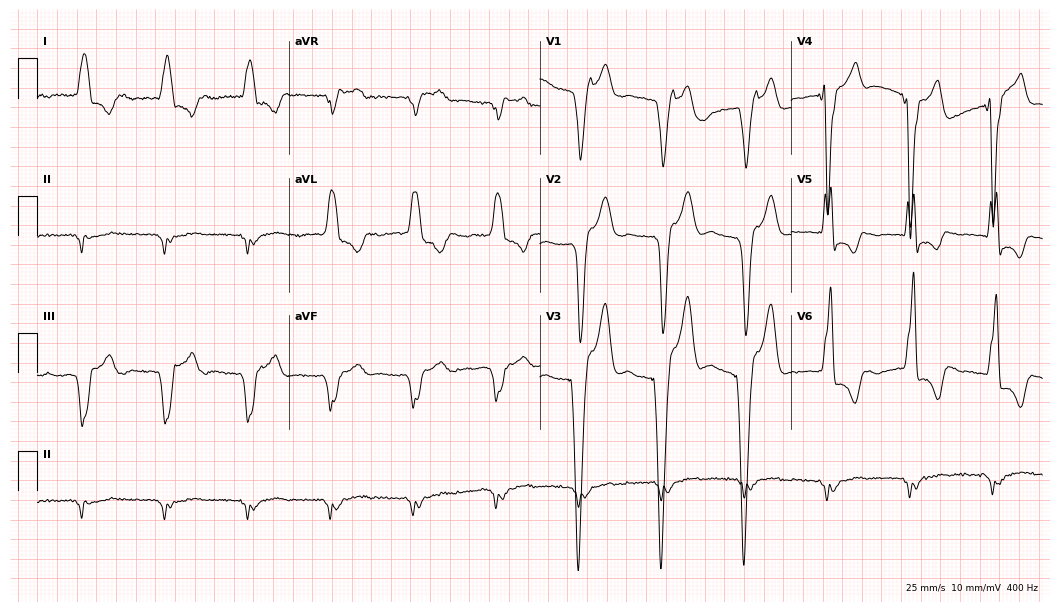
ECG (10.2-second recording at 400 Hz) — a 77-year-old male patient. Screened for six findings — first-degree AV block, right bundle branch block, left bundle branch block, sinus bradycardia, atrial fibrillation, sinus tachycardia — none is recorded.